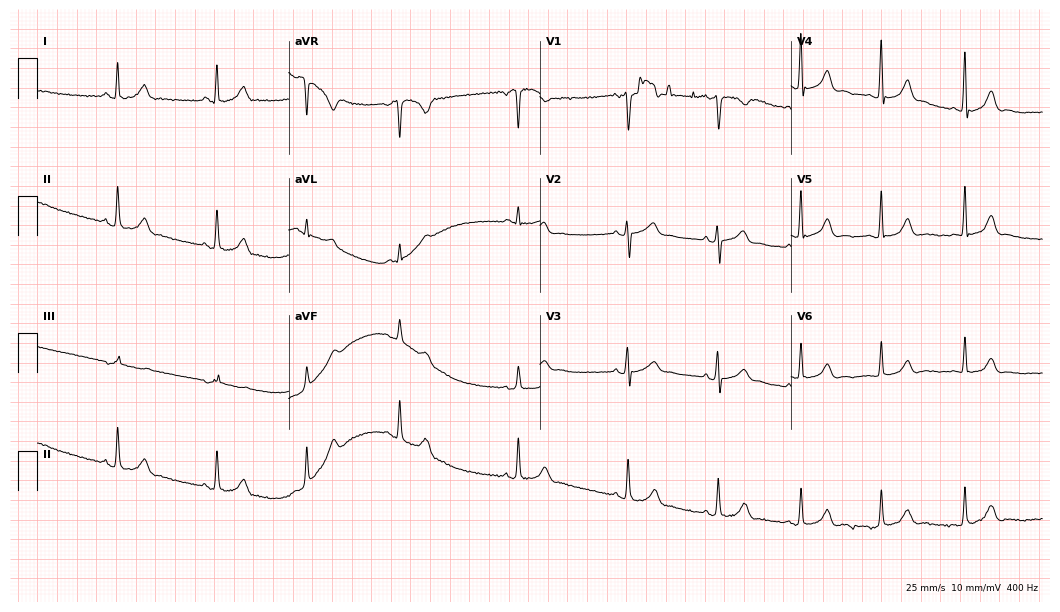
Electrocardiogram, a 25-year-old female. Of the six screened findings (first-degree AV block, right bundle branch block, left bundle branch block, sinus bradycardia, atrial fibrillation, sinus tachycardia), none is recorded.